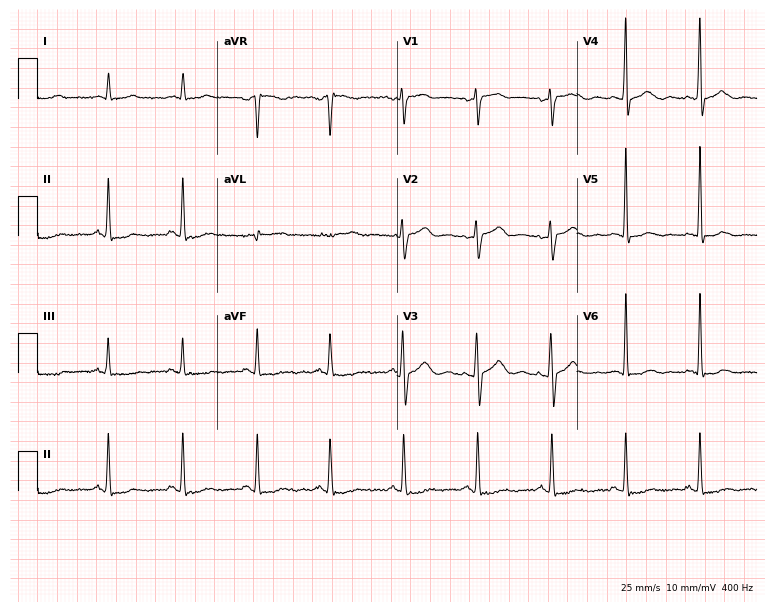
12-lead ECG from a female, 63 years old. No first-degree AV block, right bundle branch block, left bundle branch block, sinus bradycardia, atrial fibrillation or sinus tachycardia recorded for this tracing. Other findings, if any, are not listed.